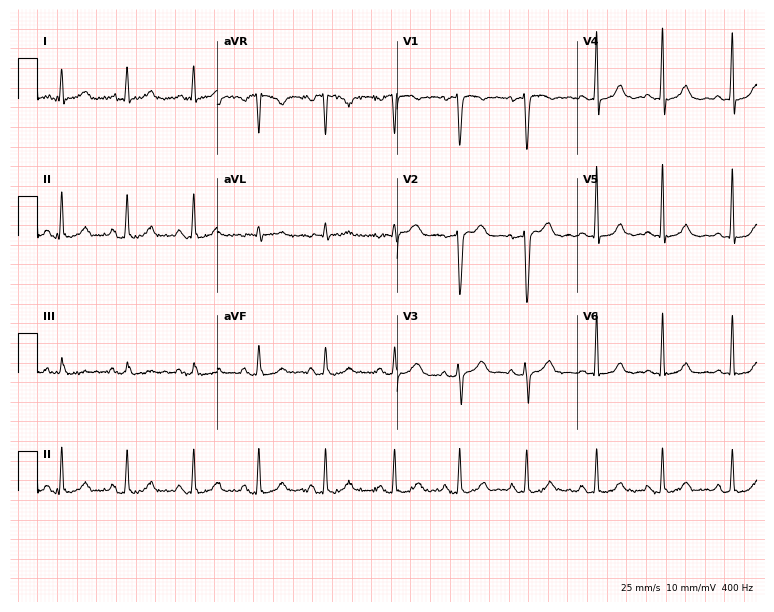
Standard 12-lead ECG recorded from a 34-year-old female patient. None of these six findings is recorded: first-degree AV block, right bundle branch block (RBBB), left bundle branch block (LBBB), sinus bradycardia, atrial fibrillation (AF), sinus tachycardia.